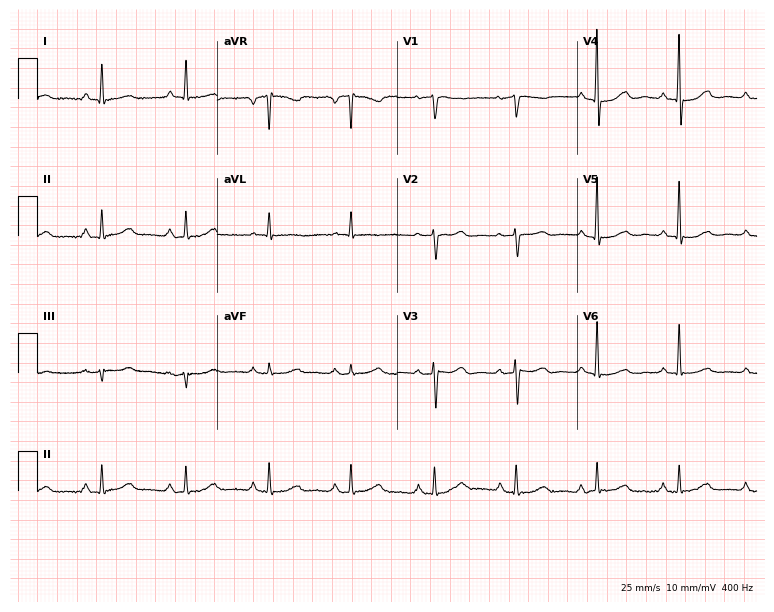
Standard 12-lead ECG recorded from a 70-year-old female patient. None of these six findings is recorded: first-degree AV block, right bundle branch block, left bundle branch block, sinus bradycardia, atrial fibrillation, sinus tachycardia. Other findings, if any, are not listed.